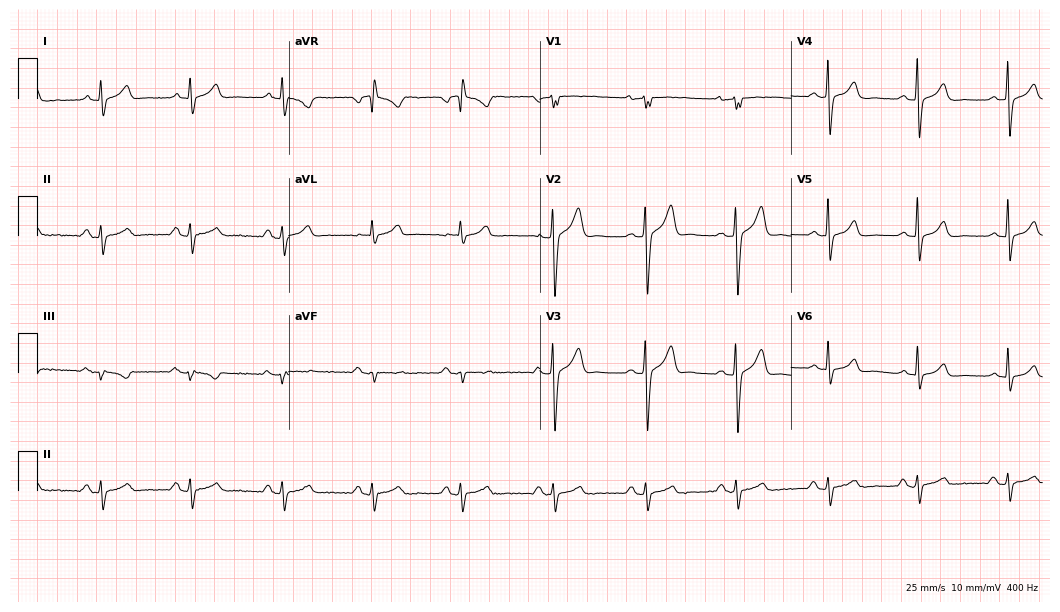
Resting 12-lead electrocardiogram (10.2-second recording at 400 Hz). Patient: a man, 32 years old. None of these six findings is recorded: first-degree AV block, right bundle branch block, left bundle branch block, sinus bradycardia, atrial fibrillation, sinus tachycardia. Findings outside these six are not listed.